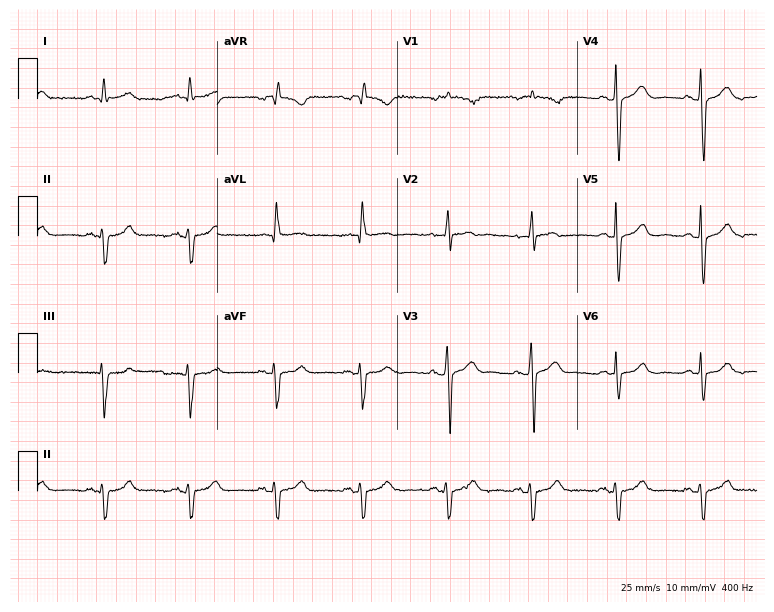
12-lead ECG (7.3-second recording at 400 Hz) from an 84-year-old male. Screened for six findings — first-degree AV block, right bundle branch block (RBBB), left bundle branch block (LBBB), sinus bradycardia, atrial fibrillation (AF), sinus tachycardia — none is recorded. Findings outside these six are not listed.